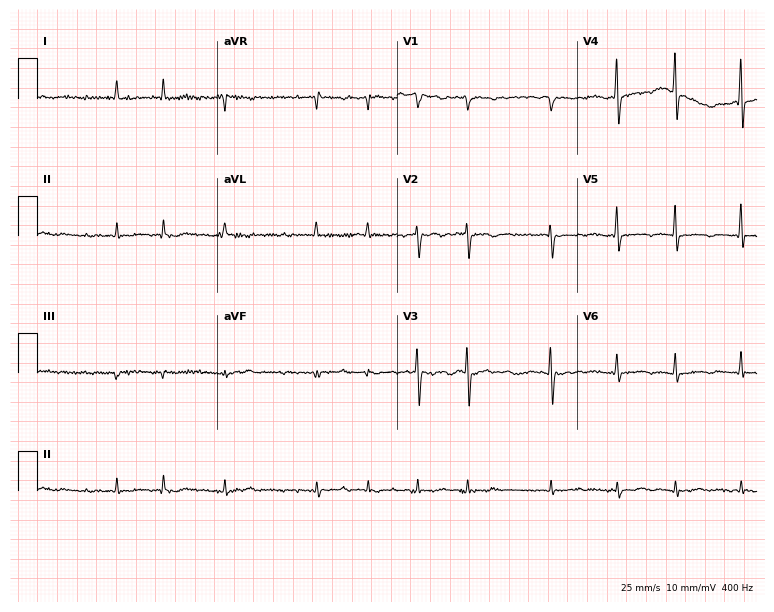
Resting 12-lead electrocardiogram. Patient: a male, 75 years old. The tracing shows atrial fibrillation.